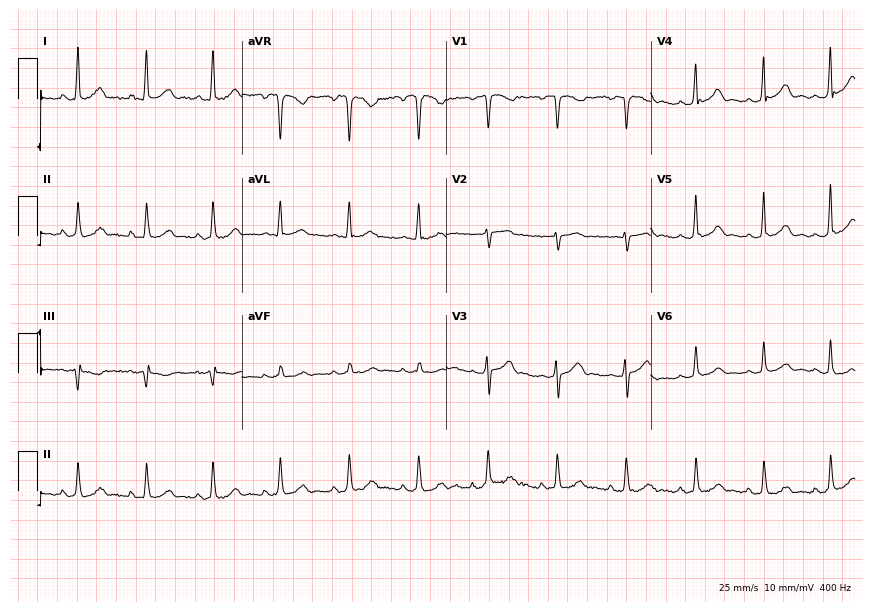
Standard 12-lead ECG recorded from a 30-year-old woman (8.3-second recording at 400 Hz). Read as a normal ECG.